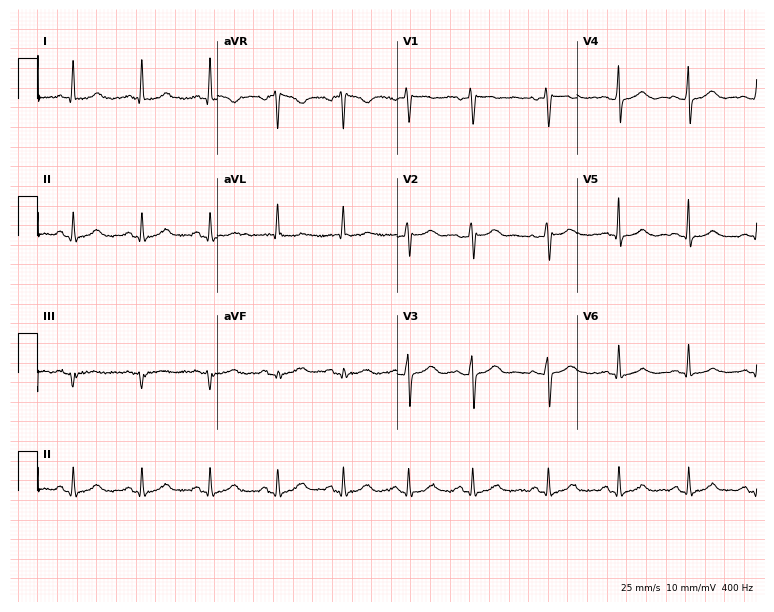
12-lead ECG from a female, 45 years old. Recorded interpretation: within normal limits.